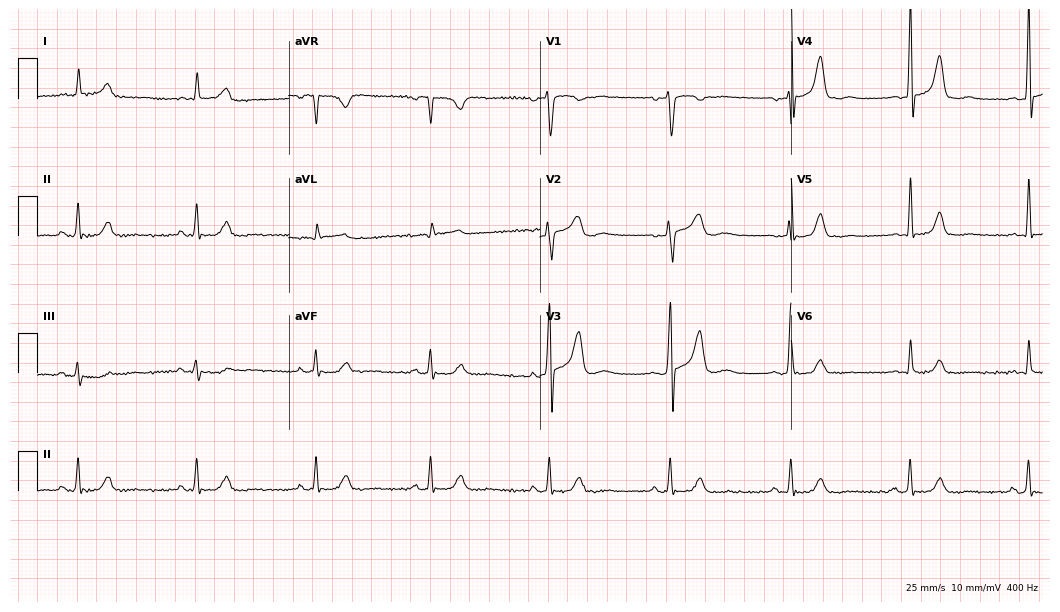
12-lead ECG from a 62-year-old male. No first-degree AV block, right bundle branch block, left bundle branch block, sinus bradycardia, atrial fibrillation or sinus tachycardia recorded for this tracing. Only these six findings were labelled.